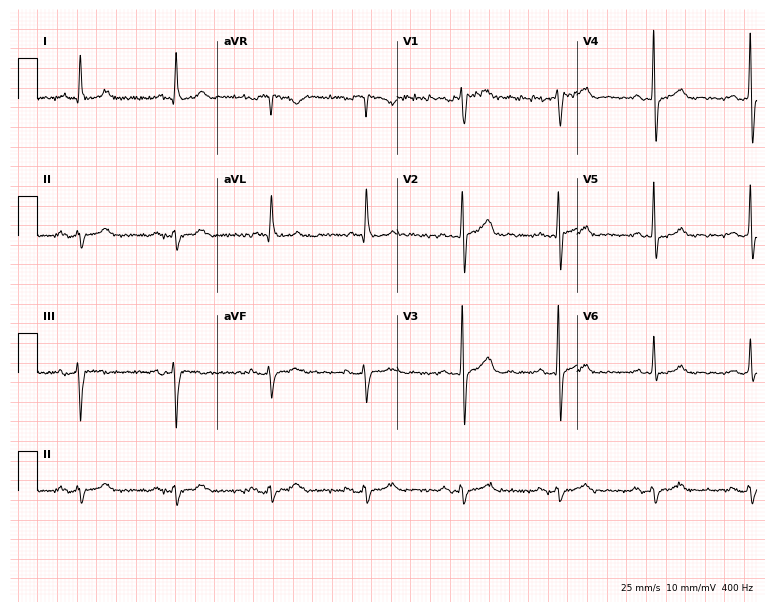
Standard 12-lead ECG recorded from a male patient, 68 years old (7.3-second recording at 400 Hz). None of these six findings is recorded: first-degree AV block, right bundle branch block, left bundle branch block, sinus bradycardia, atrial fibrillation, sinus tachycardia.